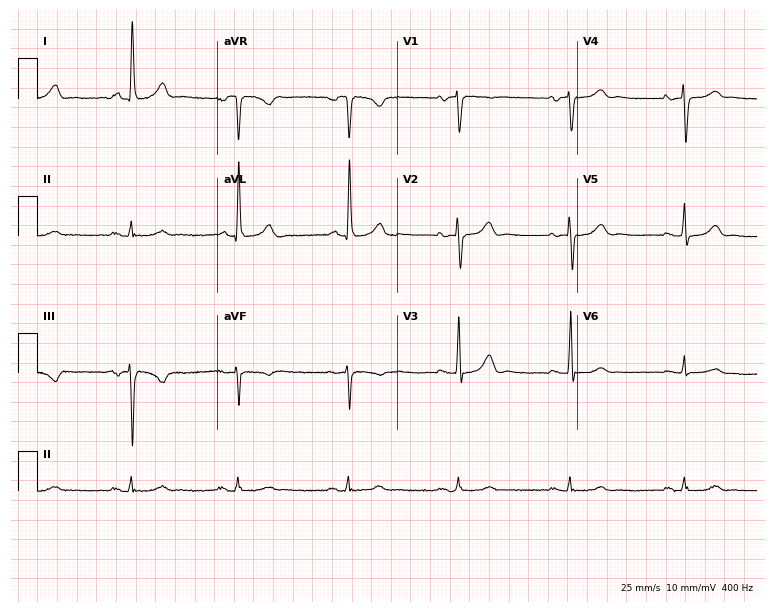
Standard 12-lead ECG recorded from a female, 86 years old (7.3-second recording at 400 Hz). Read as a normal ECG.